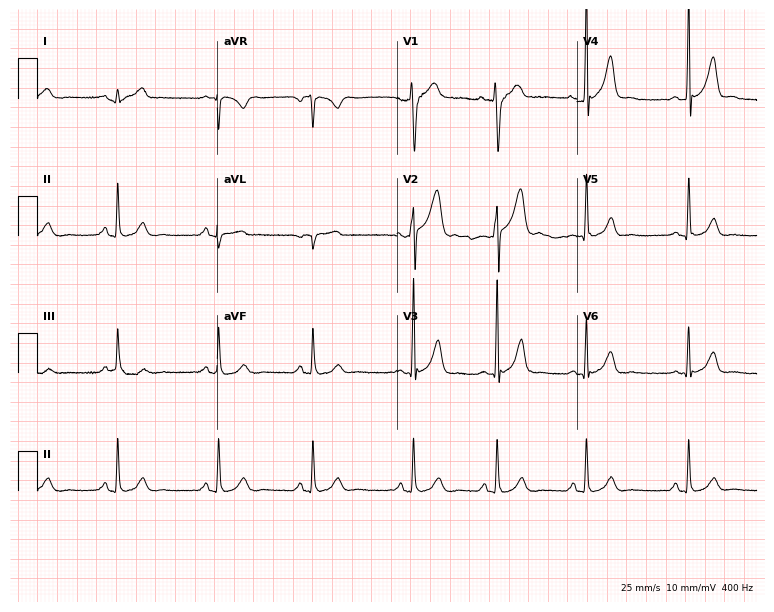
12-lead ECG (7.3-second recording at 400 Hz) from a man, 22 years old. Labelled as a normal ECG.